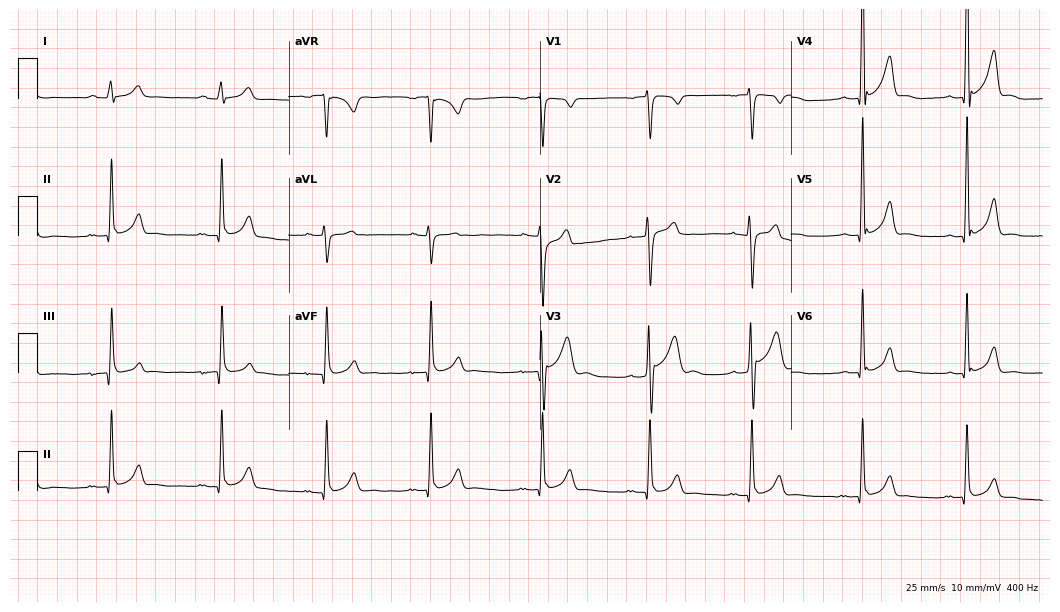
ECG — a 17-year-old male. Labelled as a normal ECG.